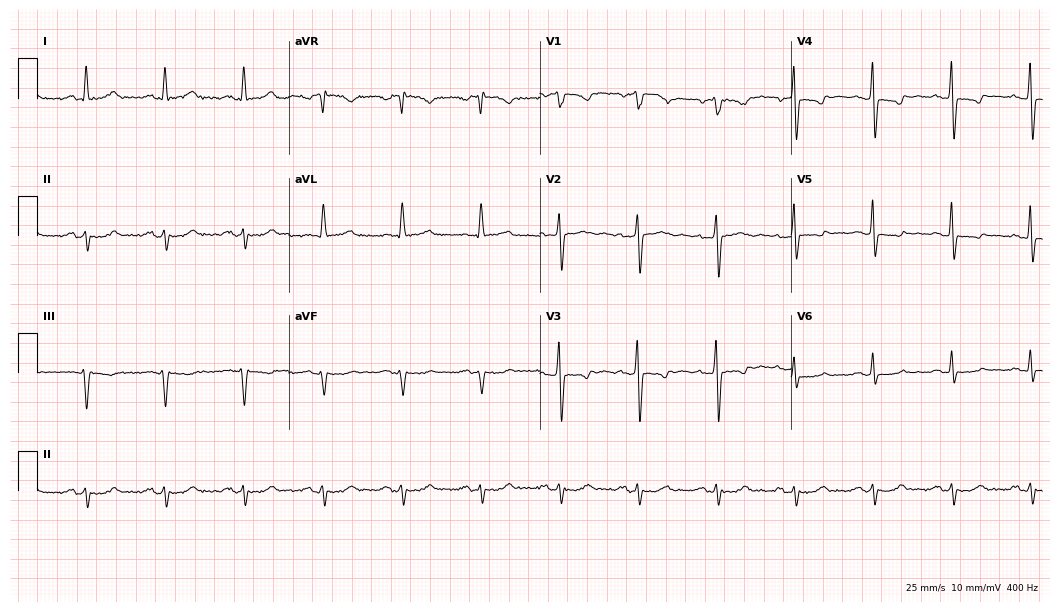
Standard 12-lead ECG recorded from a 76-year-old man (10.2-second recording at 400 Hz). None of these six findings is recorded: first-degree AV block, right bundle branch block, left bundle branch block, sinus bradycardia, atrial fibrillation, sinus tachycardia.